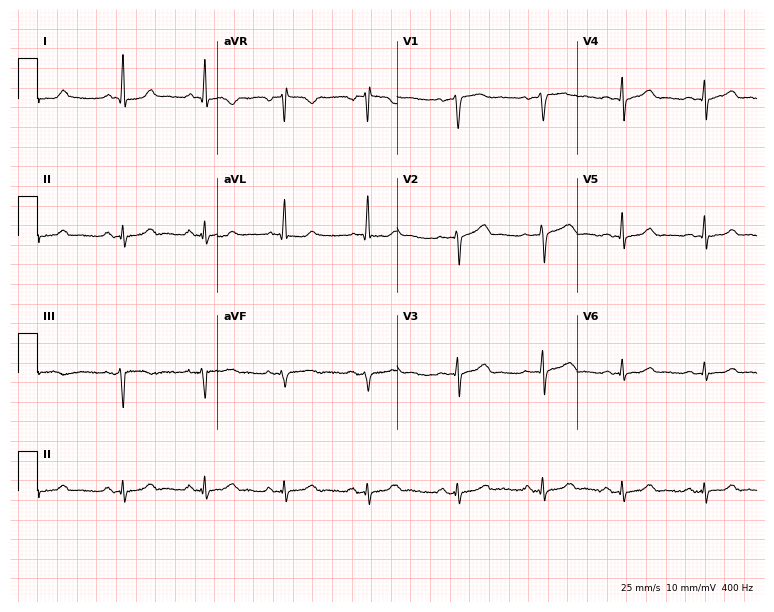
Resting 12-lead electrocardiogram. Patient: a 43-year-old male. Read as a normal ECG.